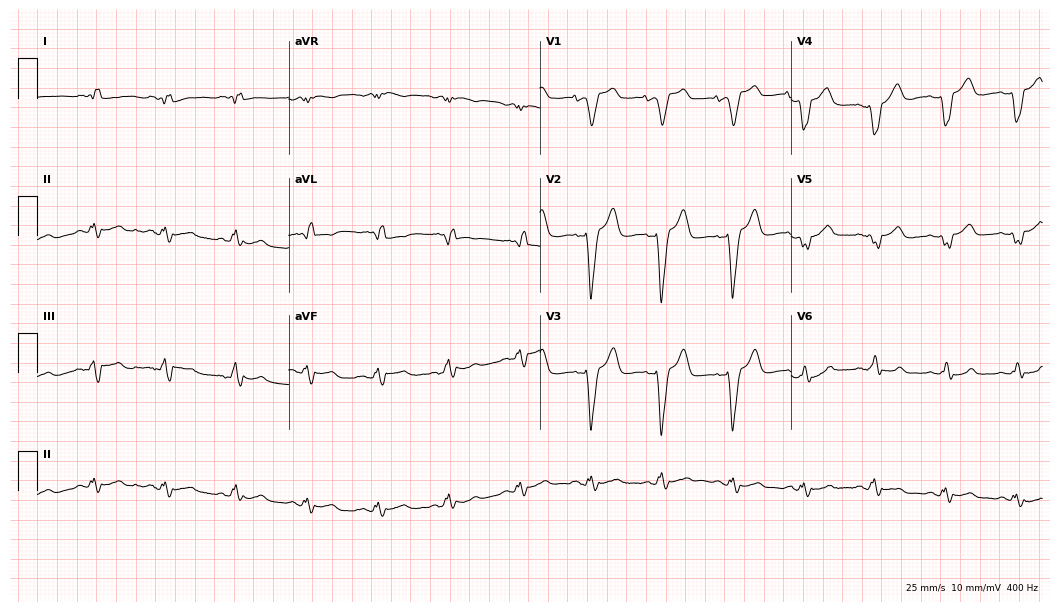
12-lead ECG from an 84-year-old woman (10.2-second recording at 400 Hz). Shows left bundle branch block (LBBB).